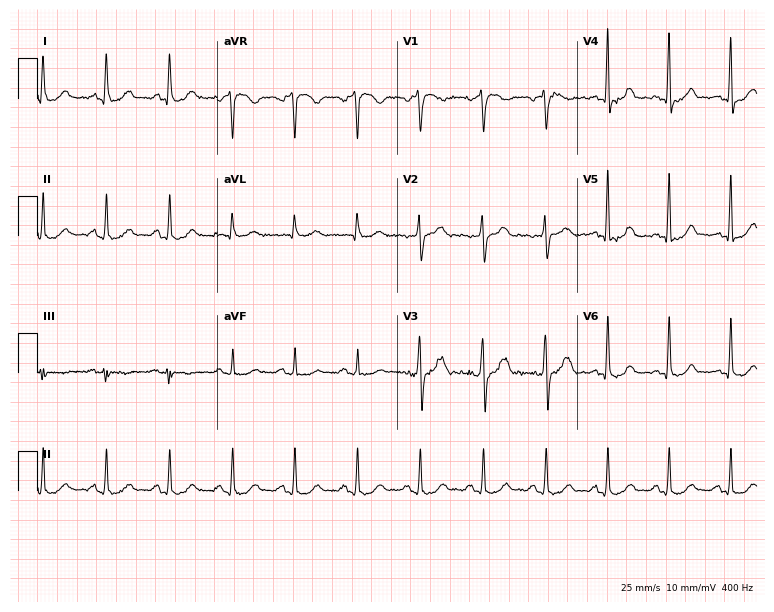
12-lead ECG from a male, 39 years old. Recorded interpretation: within normal limits.